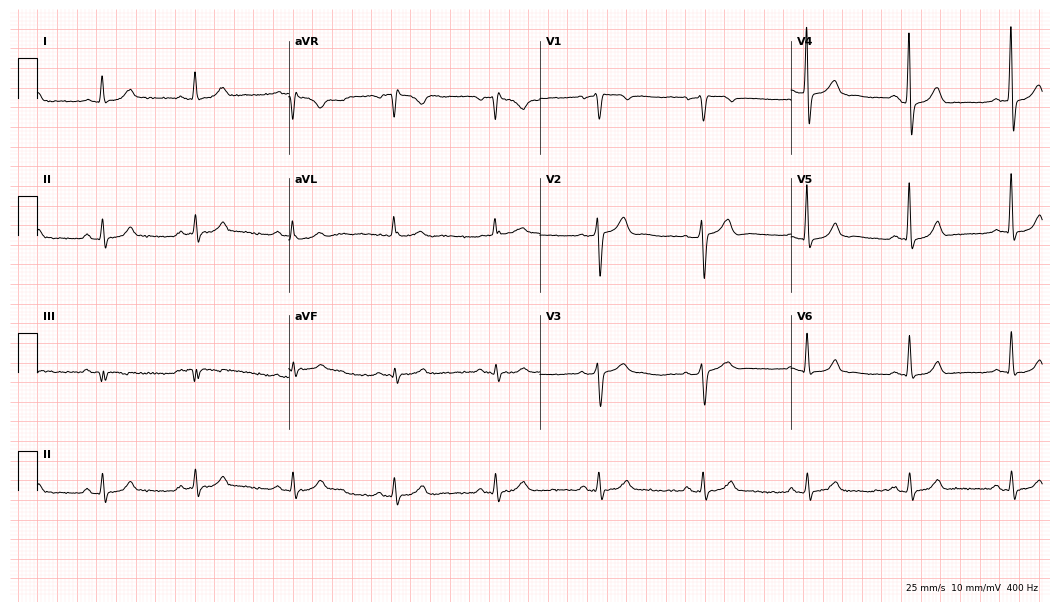
12-lead ECG (10.2-second recording at 400 Hz) from a female, 56 years old. Screened for six findings — first-degree AV block, right bundle branch block, left bundle branch block, sinus bradycardia, atrial fibrillation, sinus tachycardia — none is recorded.